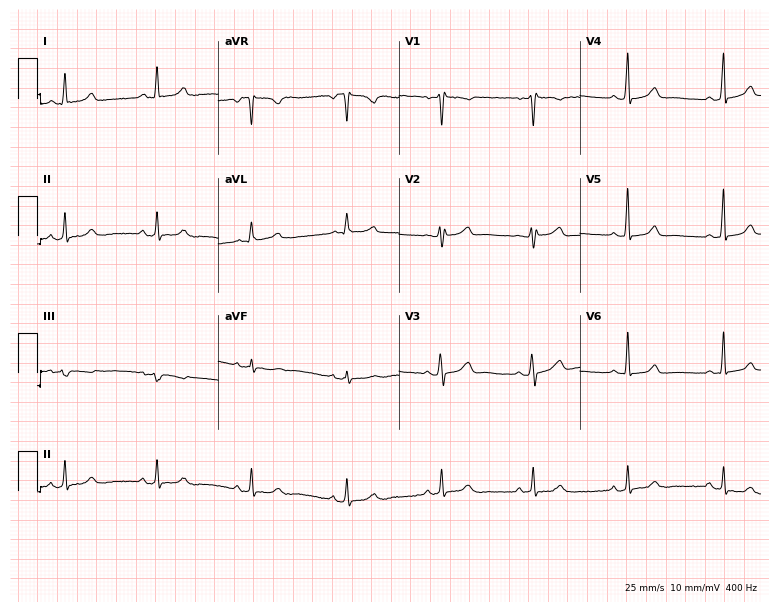
ECG (7.4-second recording at 400 Hz) — a woman, 45 years old. Labelled as a normal ECG.